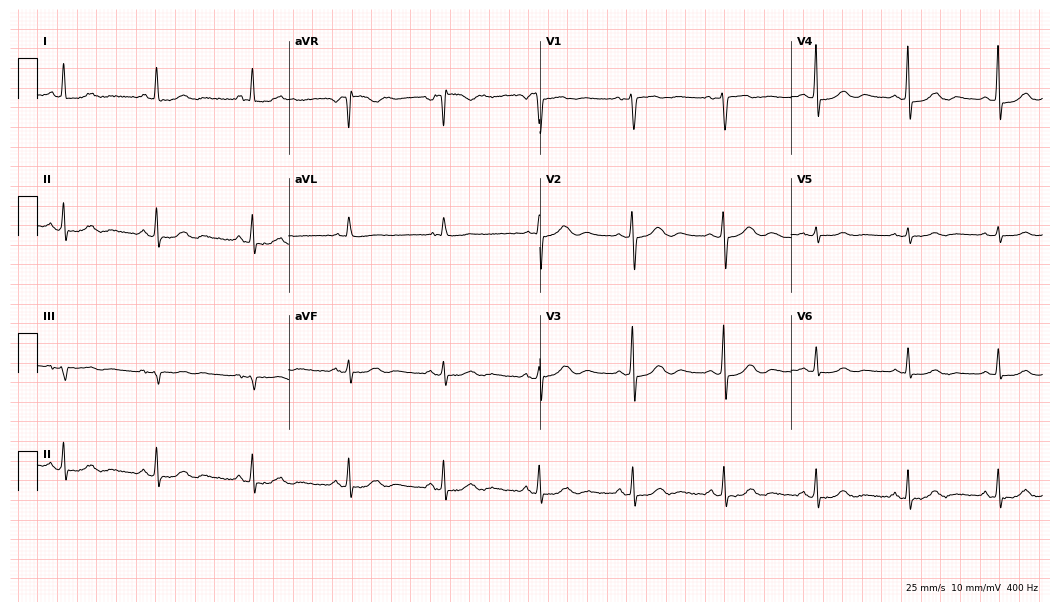
Standard 12-lead ECG recorded from a 65-year-old woman (10.2-second recording at 400 Hz). Read as a normal ECG.